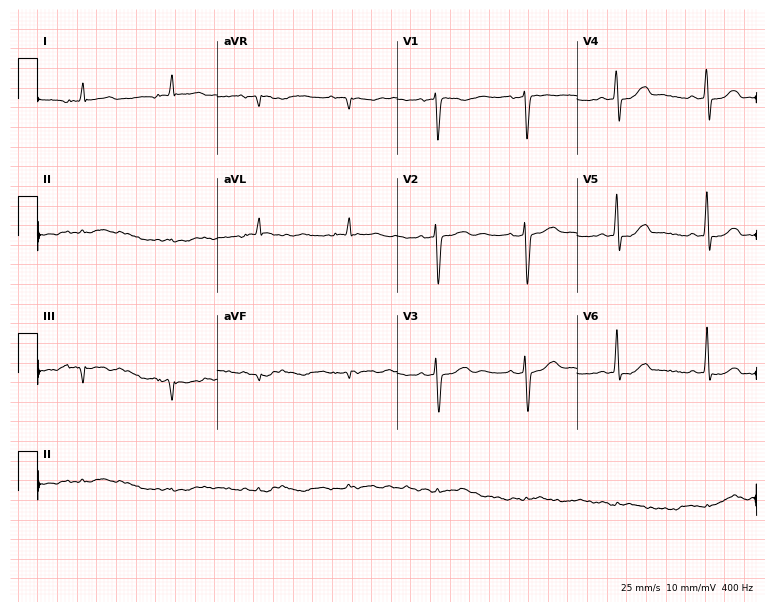
Resting 12-lead electrocardiogram. Patient: a female, 53 years old. None of these six findings is recorded: first-degree AV block, right bundle branch block, left bundle branch block, sinus bradycardia, atrial fibrillation, sinus tachycardia.